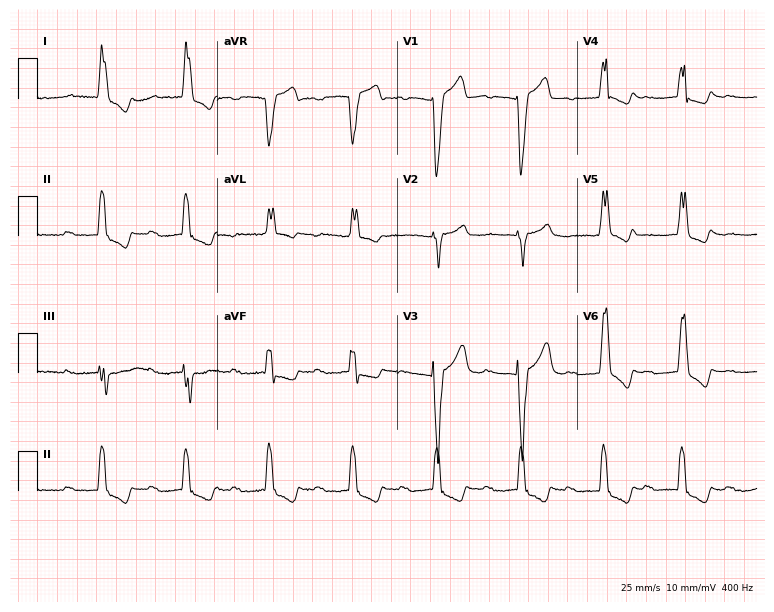
Standard 12-lead ECG recorded from a woman, 84 years old (7.3-second recording at 400 Hz). The tracing shows first-degree AV block, left bundle branch block (LBBB).